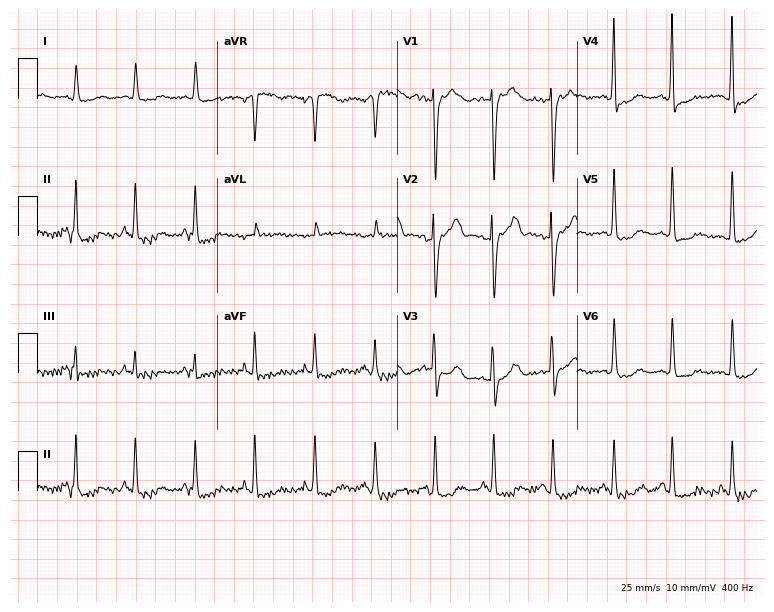
ECG — a female, 85 years old. Screened for six findings — first-degree AV block, right bundle branch block (RBBB), left bundle branch block (LBBB), sinus bradycardia, atrial fibrillation (AF), sinus tachycardia — none is recorded. Only these six findings were labelled.